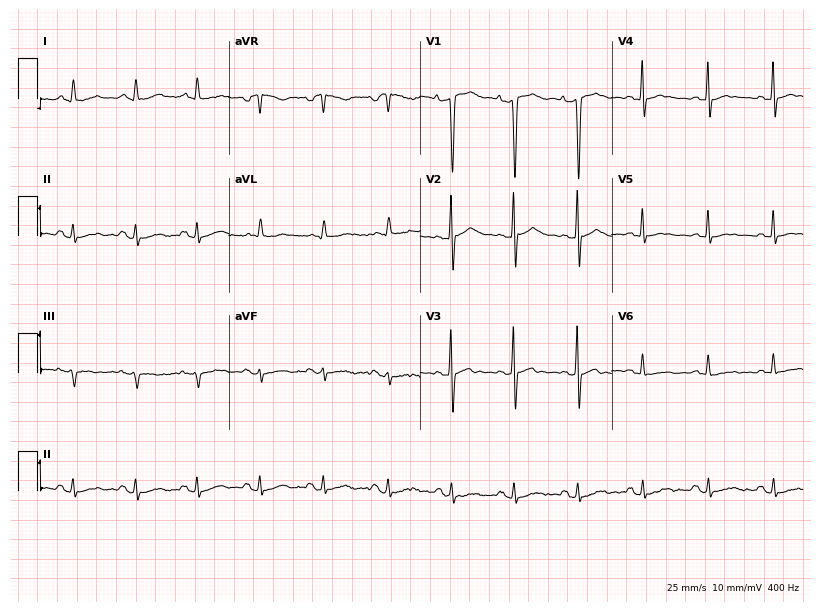
12-lead ECG (7.8-second recording at 400 Hz) from a 58-year-old man. Screened for six findings — first-degree AV block, right bundle branch block, left bundle branch block, sinus bradycardia, atrial fibrillation, sinus tachycardia — none is recorded. Other findings, if any, are not listed.